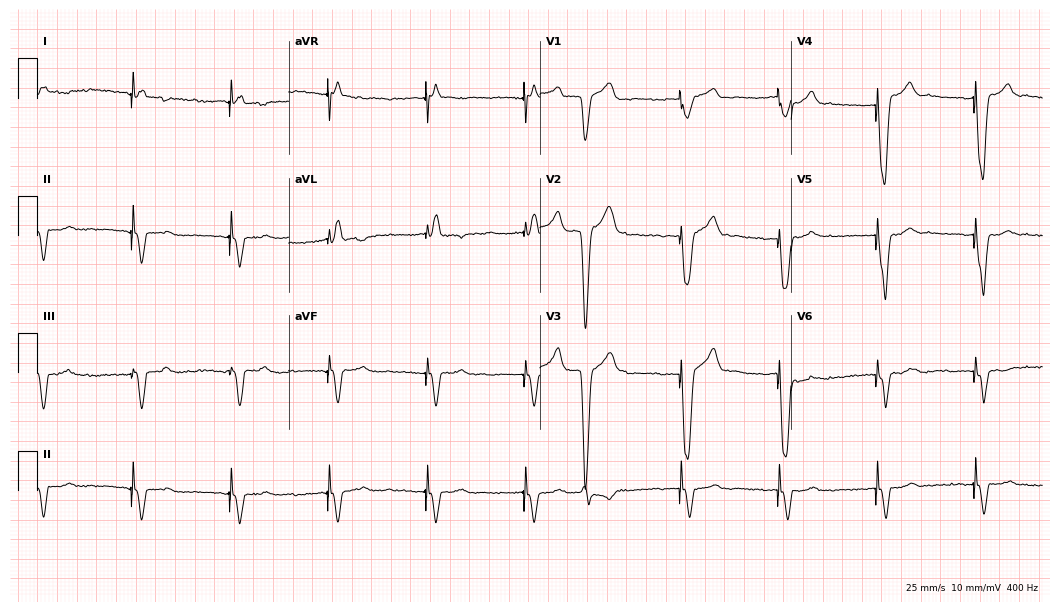
Resting 12-lead electrocardiogram. Patient: a male, 85 years old. None of these six findings is recorded: first-degree AV block, right bundle branch block, left bundle branch block, sinus bradycardia, atrial fibrillation, sinus tachycardia. Other findings, if any, are not listed.